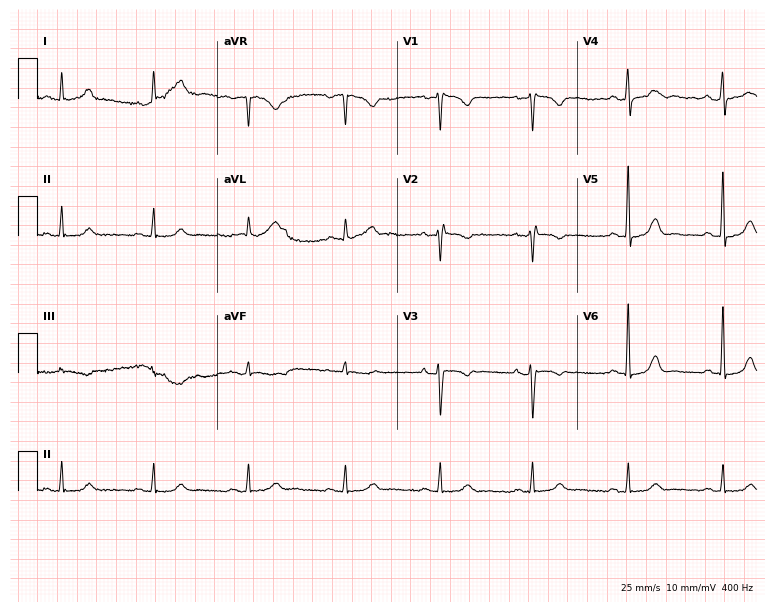
Electrocardiogram, a 49-year-old female patient. Of the six screened findings (first-degree AV block, right bundle branch block, left bundle branch block, sinus bradycardia, atrial fibrillation, sinus tachycardia), none is recorded.